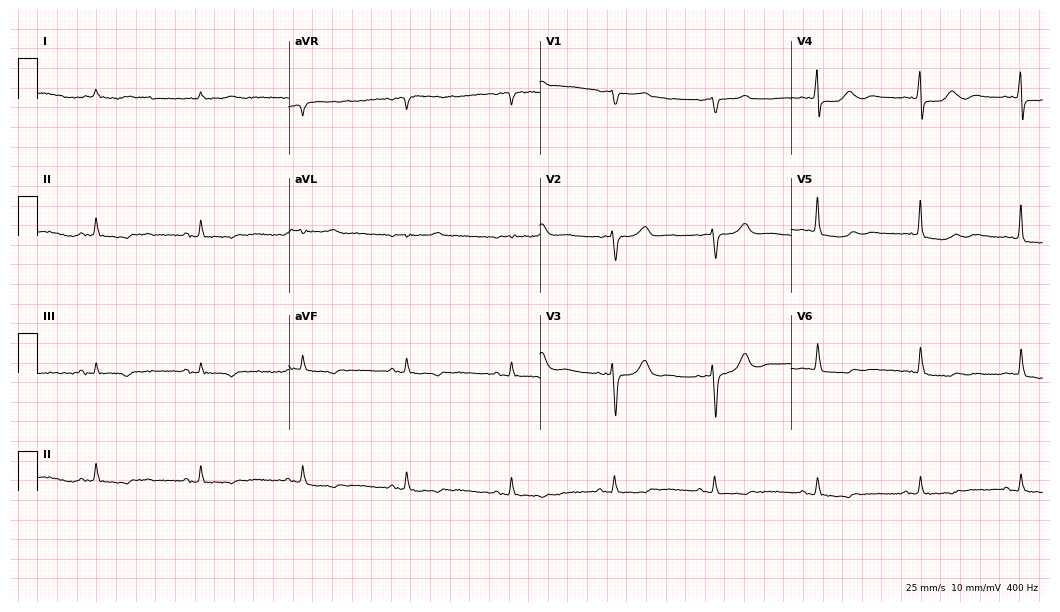
Standard 12-lead ECG recorded from a female patient, 82 years old. None of these six findings is recorded: first-degree AV block, right bundle branch block, left bundle branch block, sinus bradycardia, atrial fibrillation, sinus tachycardia. Findings outside these six are not listed.